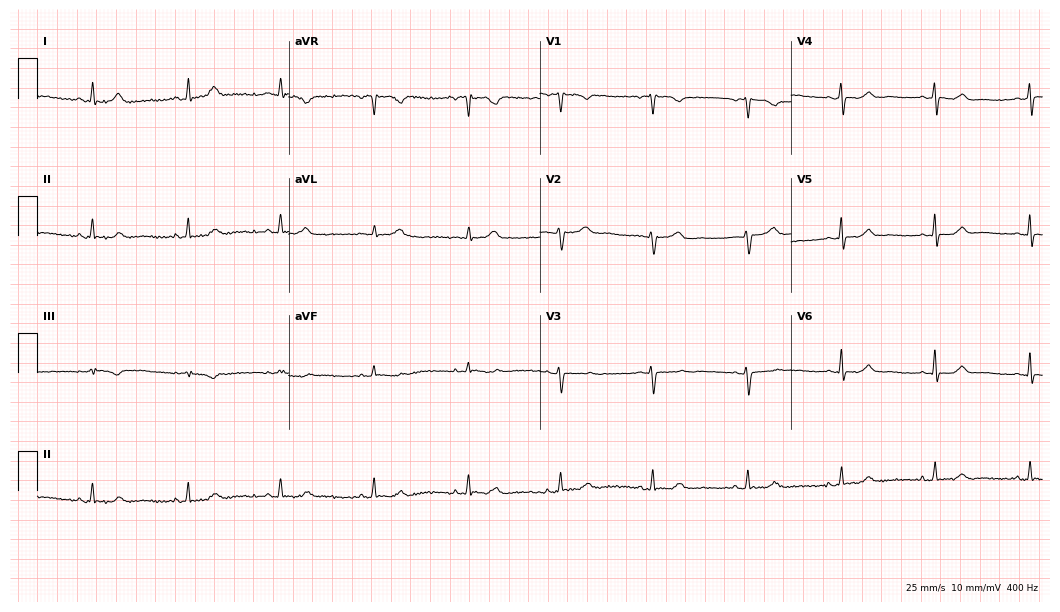
12-lead ECG (10.2-second recording at 400 Hz) from a woman, 55 years old. Labelled as a normal ECG.